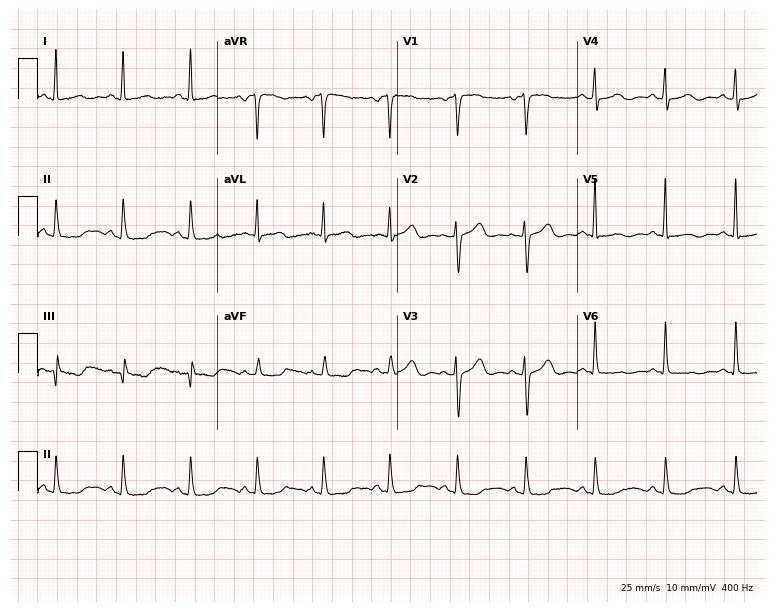
ECG — a 40-year-old woman. Screened for six findings — first-degree AV block, right bundle branch block, left bundle branch block, sinus bradycardia, atrial fibrillation, sinus tachycardia — none is recorded. Findings outside these six are not listed.